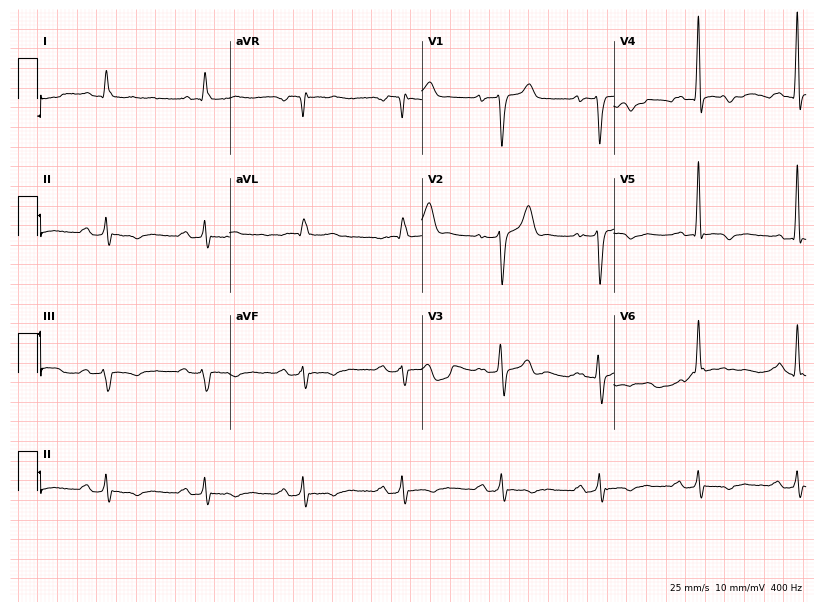
Electrocardiogram, a male patient, 78 years old. Of the six screened findings (first-degree AV block, right bundle branch block, left bundle branch block, sinus bradycardia, atrial fibrillation, sinus tachycardia), none is recorded.